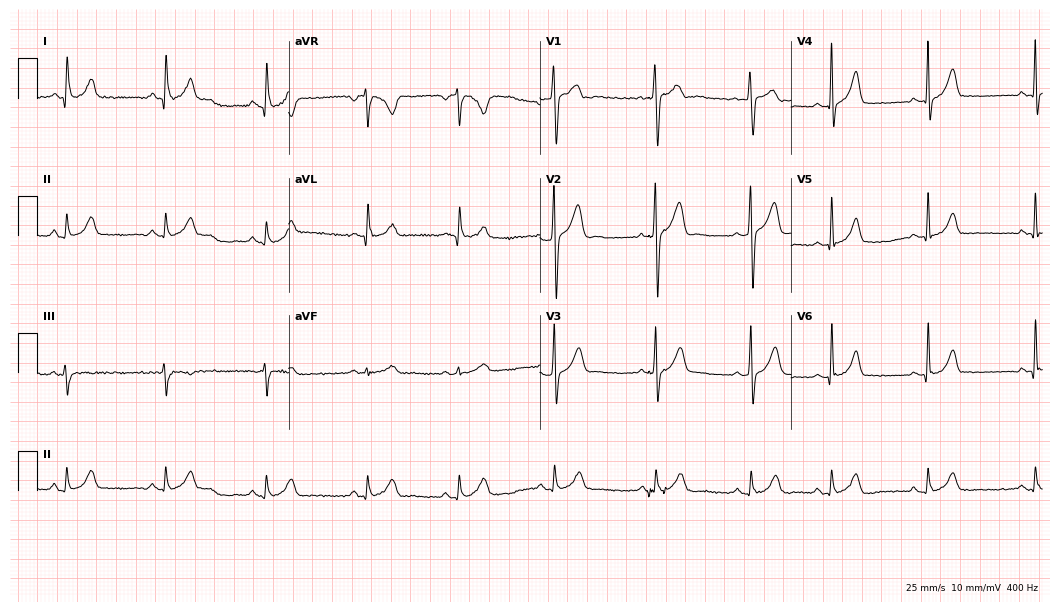
12-lead ECG from a 33-year-old woman. Recorded interpretation: within normal limits.